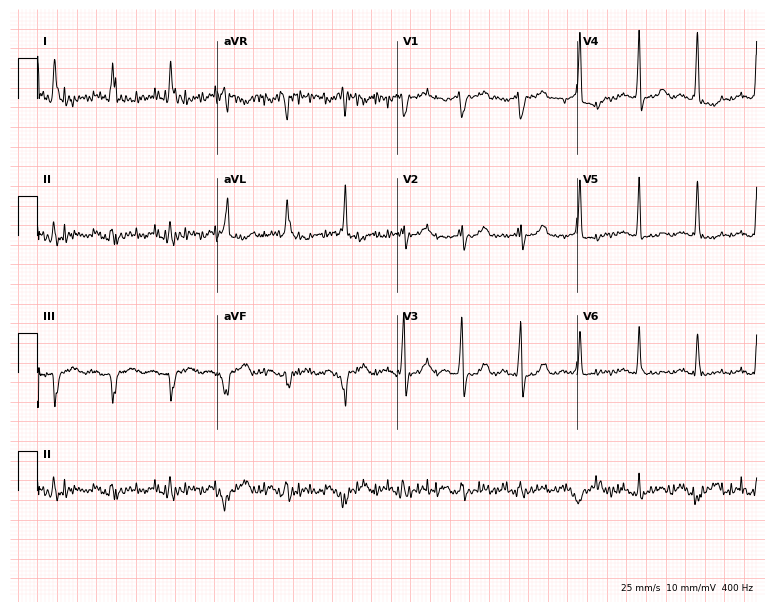
12-lead ECG from a 51-year-old female. Screened for six findings — first-degree AV block, right bundle branch block, left bundle branch block, sinus bradycardia, atrial fibrillation, sinus tachycardia — none is recorded. Only these six findings were labelled.